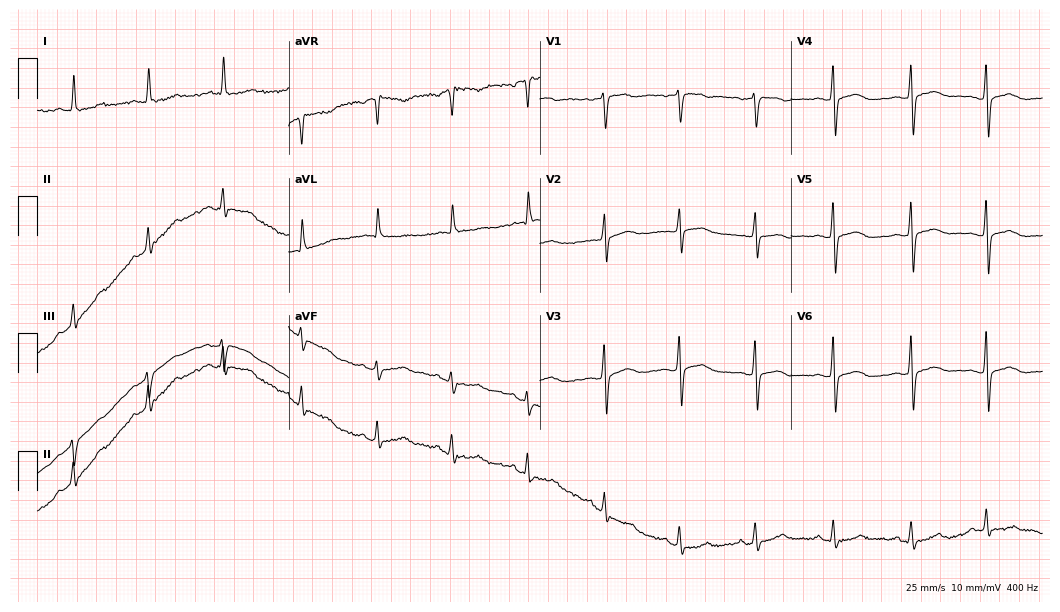
12-lead ECG from a 66-year-old woman (10.2-second recording at 400 Hz). No first-degree AV block, right bundle branch block, left bundle branch block, sinus bradycardia, atrial fibrillation or sinus tachycardia recorded for this tracing. Findings outside these six are not listed.